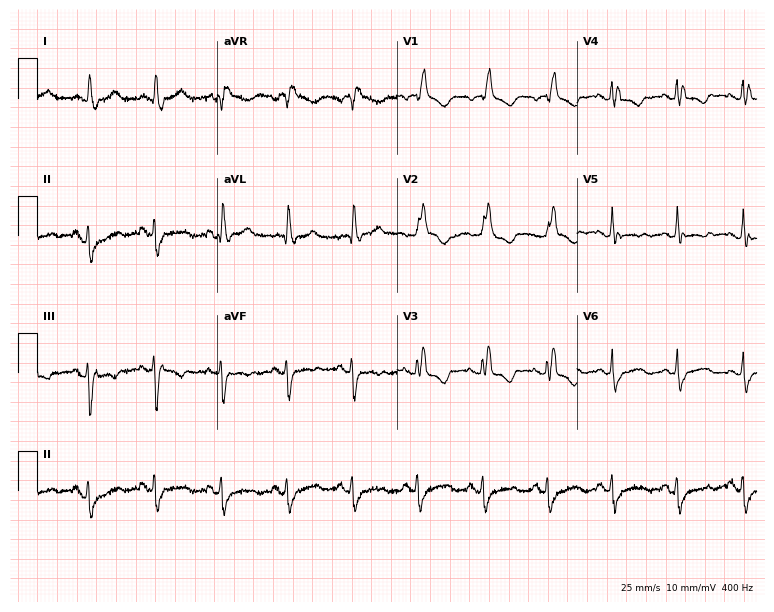
12-lead ECG from a woman, 81 years old (7.3-second recording at 400 Hz). No first-degree AV block, right bundle branch block, left bundle branch block, sinus bradycardia, atrial fibrillation or sinus tachycardia recorded for this tracing. Only these six findings were labelled.